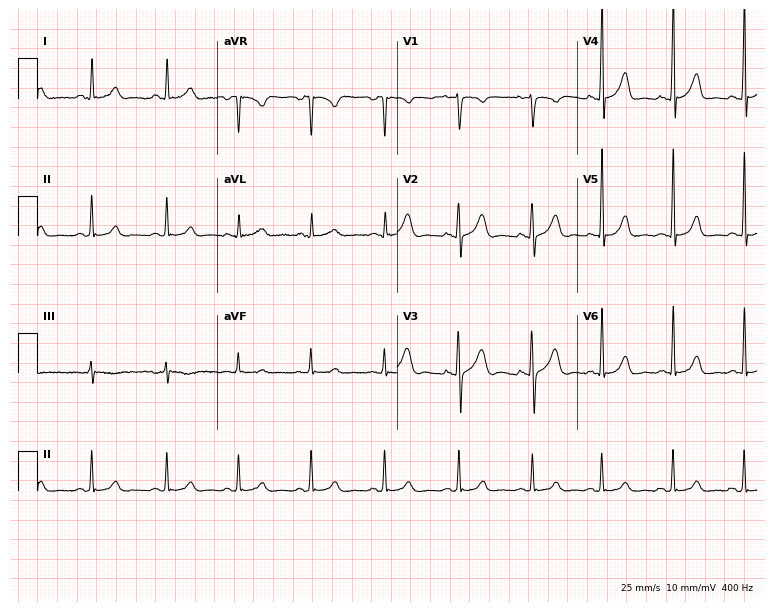
ECG (7.3-second recording at 400 Hz) — a 19-year-old woman. Screened for six findings — first-degree AV block, right bundle branch block, left bundle branch block, sinus bradycardia, atrial fibrillation, sinus tachycardia — none is recorded.